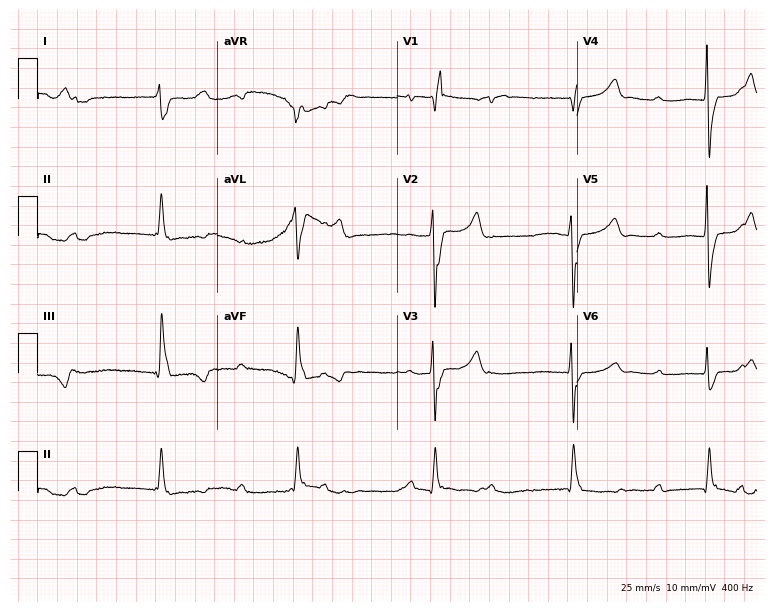
Electrocardiogram (7.3-second recording at 400 Hz), an 82-year-old female patient. Of the six screened findings (first-degree AV block, right bundle branch block (RBBB), left bundle branch block (LBBB), sinus bradycardia, atrial fibrillation (AF), sinus tachycardia), none is recorded.